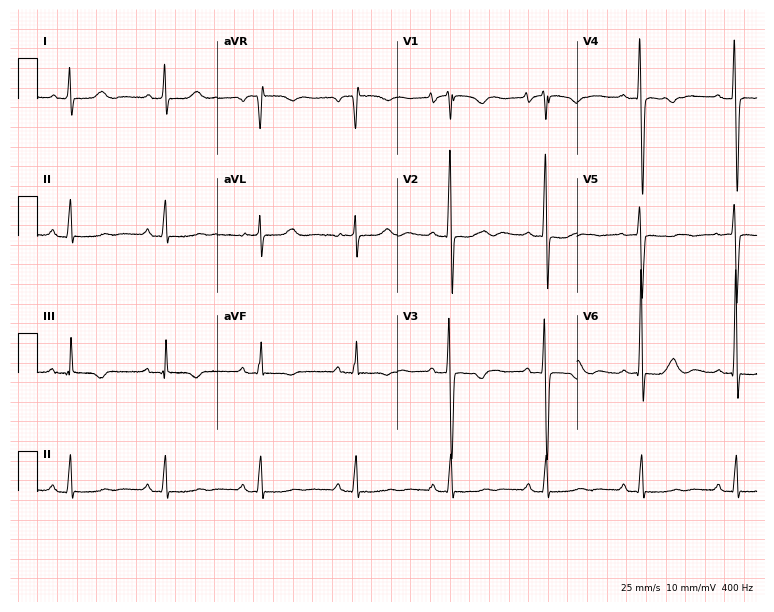
12-lead ECG (7.3-second recording at 400 Hz) from a 76-year-old woman. Screened for six findings — first-degree AV block, right bundle branch block, left bundle branch block, sinus bradycardia, atrial fibrillation, sinus tachycardia — none is recorded.